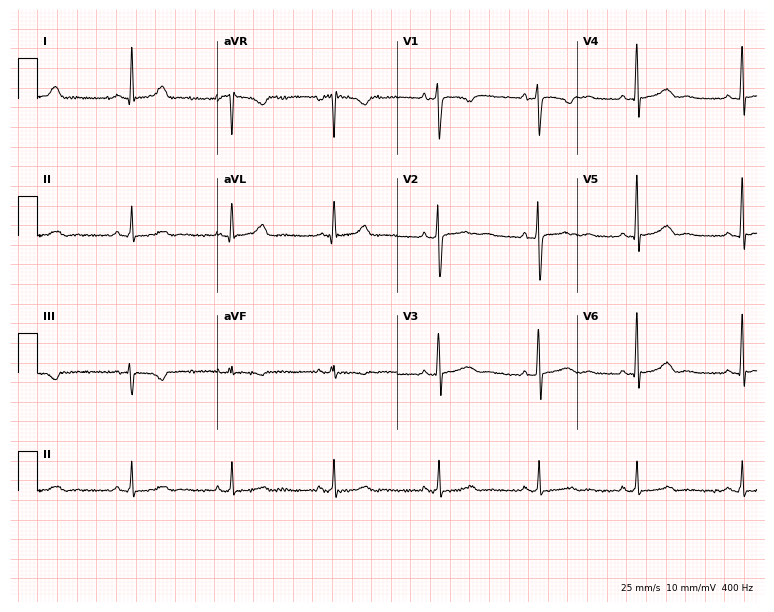
ECG — a 38-year-old female patient. Screened for six findings — first-degree AV block, right bundle branch block, left bundle branch block, sinus bradycardia, atrial fibrillation, sinus tachycardia — none is recorded.